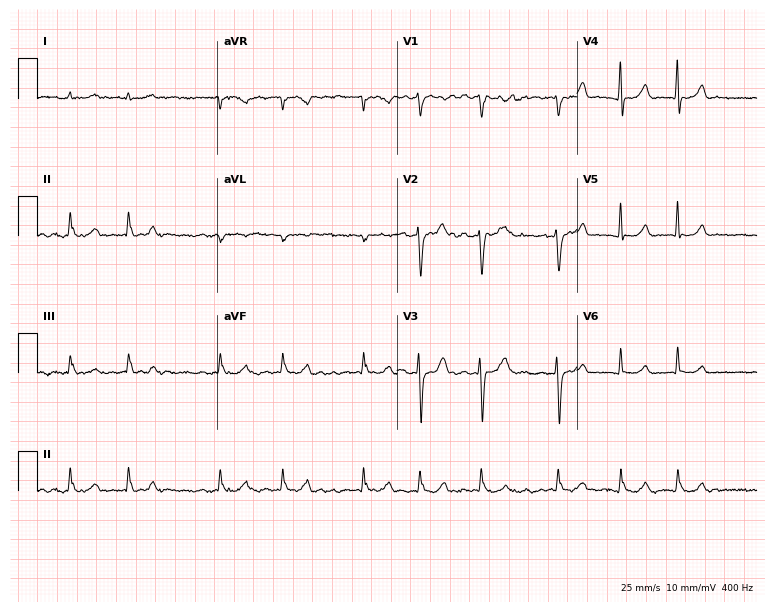
12-lead ECG from a man, 86 years old (7.3-second recording at 400 Hz). Shows atrial fibrillation.